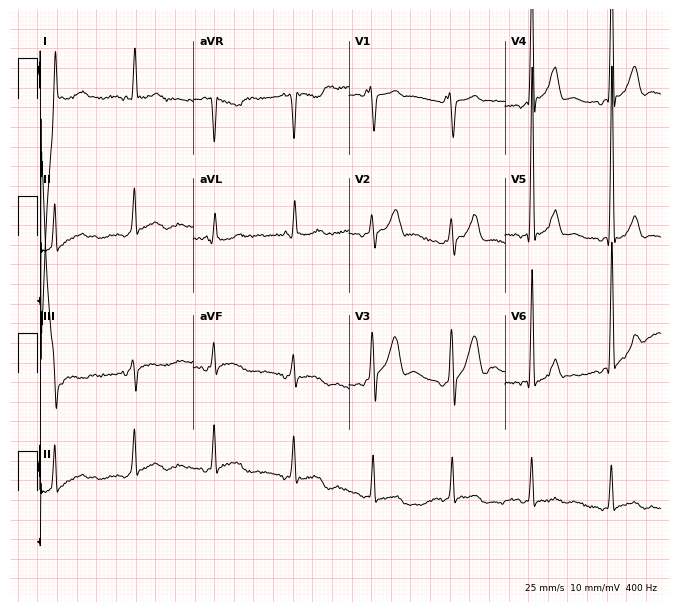
Resting 12-lead electrocardiogram. Patient: a 67-year-old male. None of these six findings is recorded: first-degree AV block, right bundle branch block, left bundle branch block, sinus bradycardia, atrial fibrillation, sinus tachycardia. Findings outside these six are not listed.